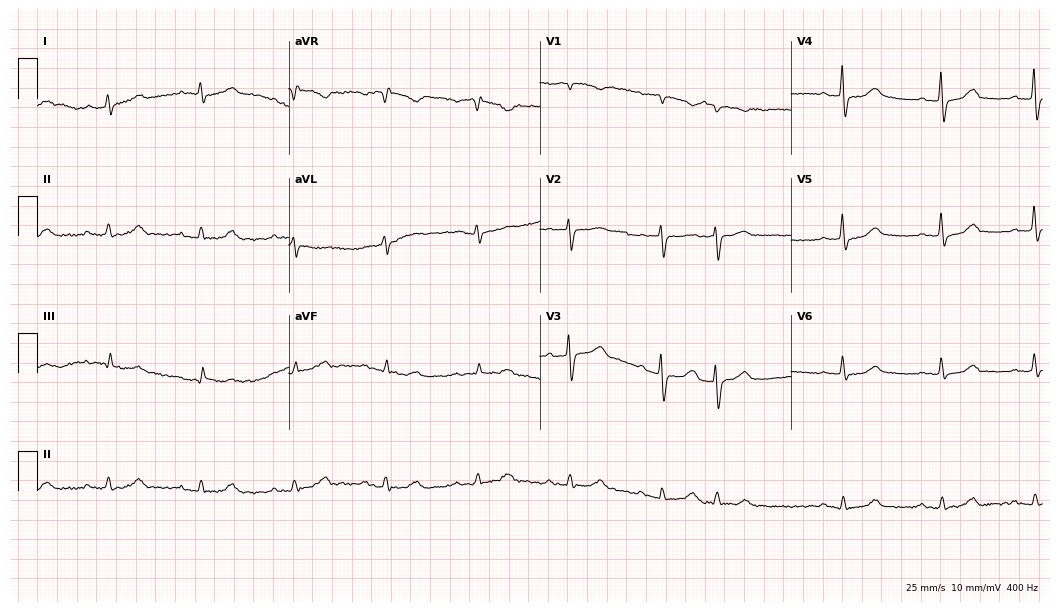
Electrocardiogram (10.2-second recording at 400 Hz), a male patient, 80 years old. Interpretation includes first-degree AV block, atrial fibrillation.